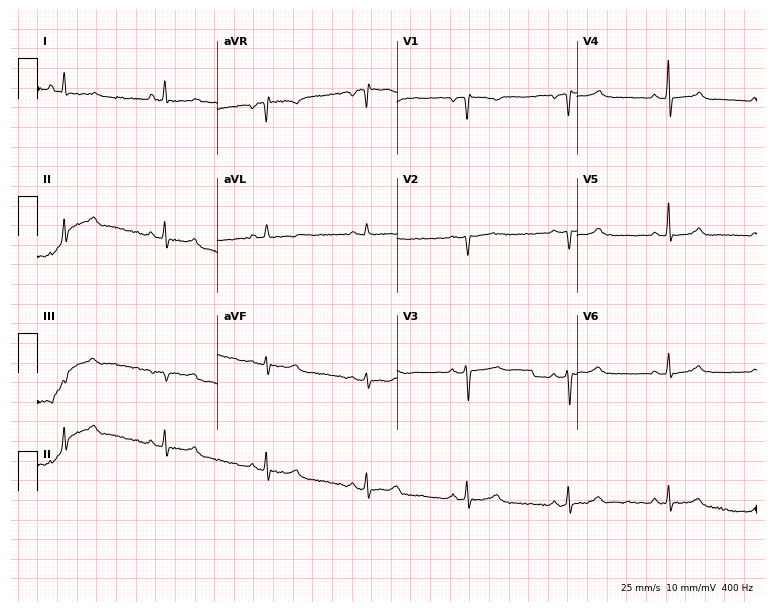
ECG — a 47-year-old female. Screened for six findings — first-degree AV block, right bundle branch block, left bundle branch block, sinus bradycardia, atrial fibrillation, sinus tachycardia — none is recorded.